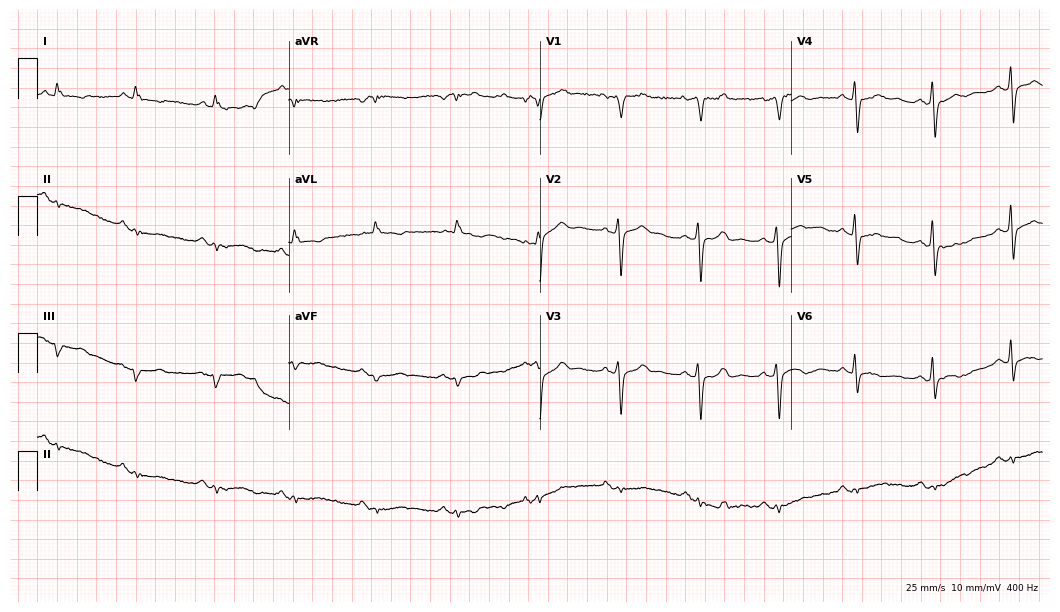
12-lead ECG from a male, 74 years old. Screened for six findings — first-degree AV block, right bundle branch block, left bundle branch block, sinus bradycardia, atrial fibrillation, sinus tachycardia — none is recorded.